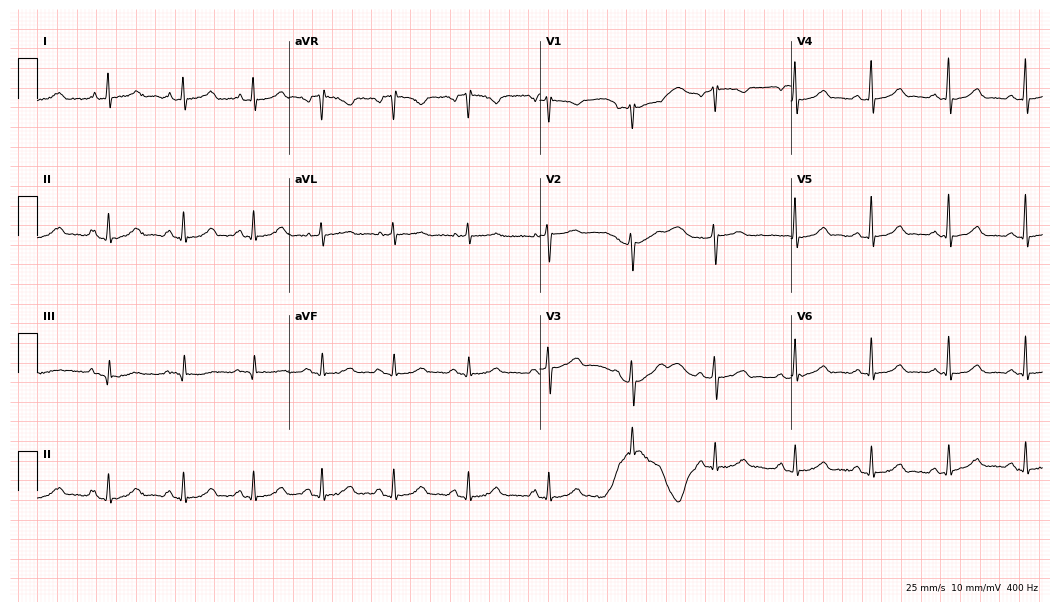
12-lead ECG from a woman, 45 years old. Recorded interpretation: within normal limits.